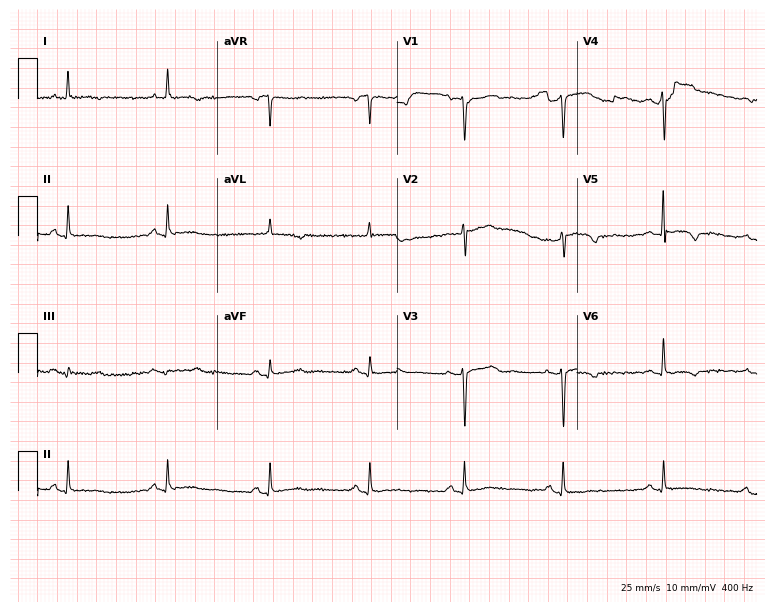
Resting 12-lead electrocardiogram (7.3-second recording at 400 Hz). Patient: a woman, 59 years old. None of these six findings is recorded: first-degree AV block, right bundle branch block (RBBB), left bundle branch block (LBBB), sinus bradycardia, atrial fibrillation (AF), sinus tachycardia. Other findings, if any, are not listed.